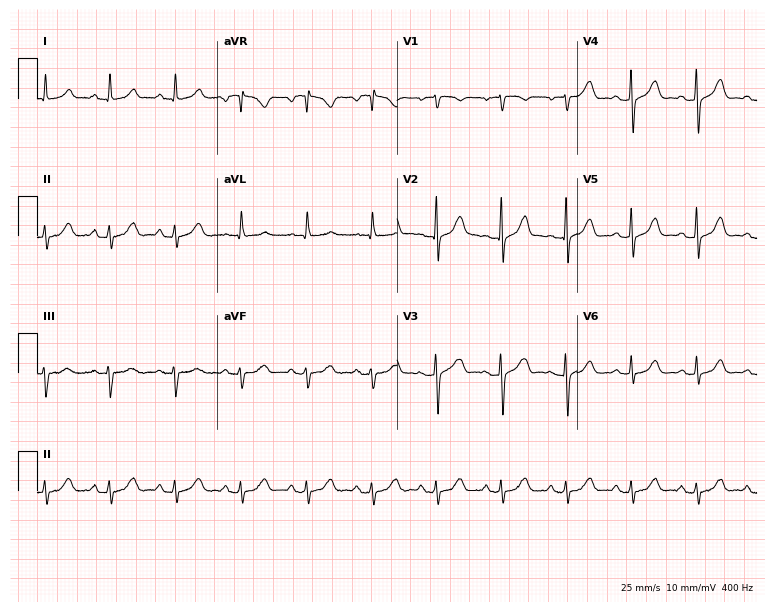
ECG — a 65-year-old female patient. Labelled as a normal ECG.